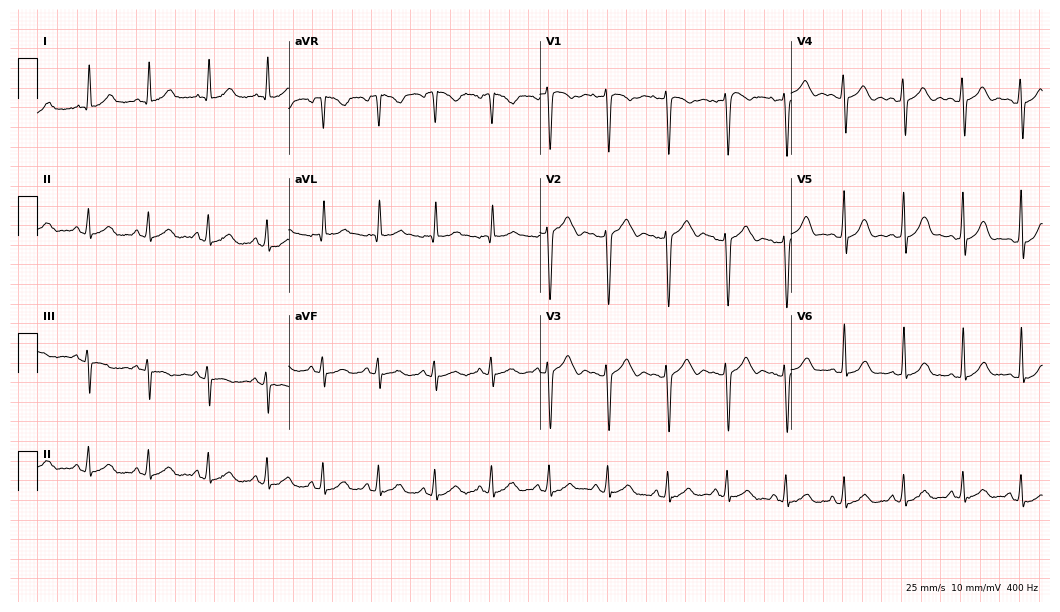
12-lead ECG (10.2-second recording at 400 Hz) from a 34-year-old female. Screened for six findings — first-degree AV block, right bundle branch block, left bundle branch block, sinus bradycardia, atrial fibrillation, sinus tachycardia — none is recorded.